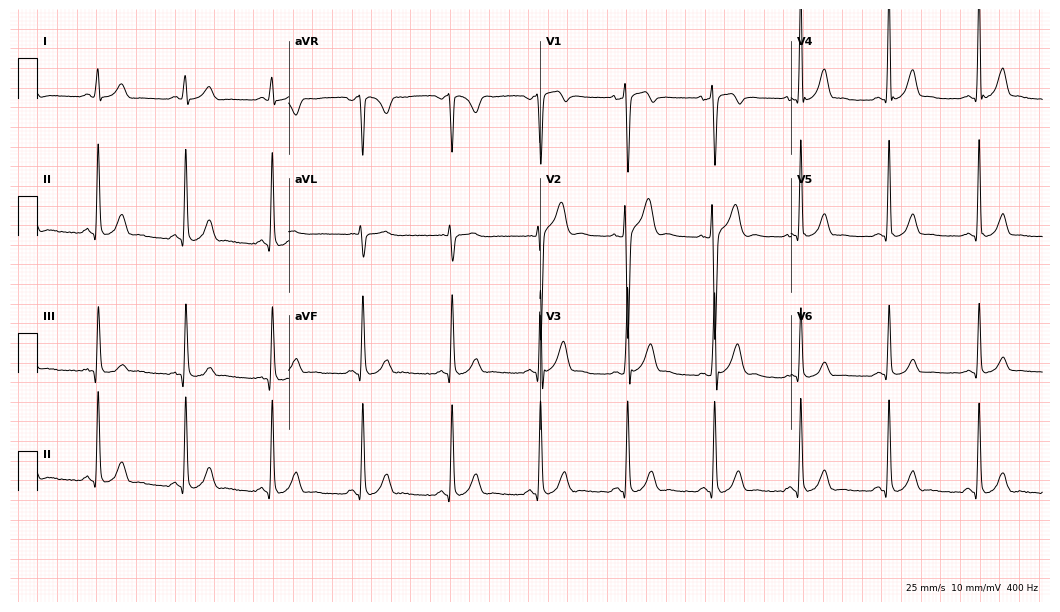
12-lead ECG from a woman, 22 years old. Screened for six findings — first-degree AV block, right bundle branch block, left bundle branch block, sinus bradycardia, atrial fibrillation, sinus tachycardia — none is recorded. Only these six findings were labelled.